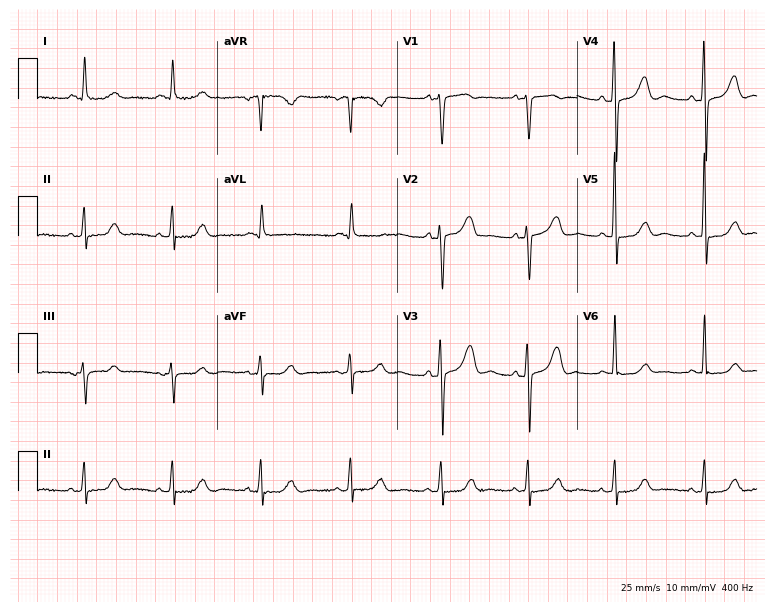
Resting 12-lead electrocardiogram. Patient: an 80-year-old female. None of these six findings is recorded: first-degree AV block, right bundle branch block (RBBB), left bundle branch block (LBBB), sinus bradycardia, atrial fibrillation (AF), sinus tachycardia.